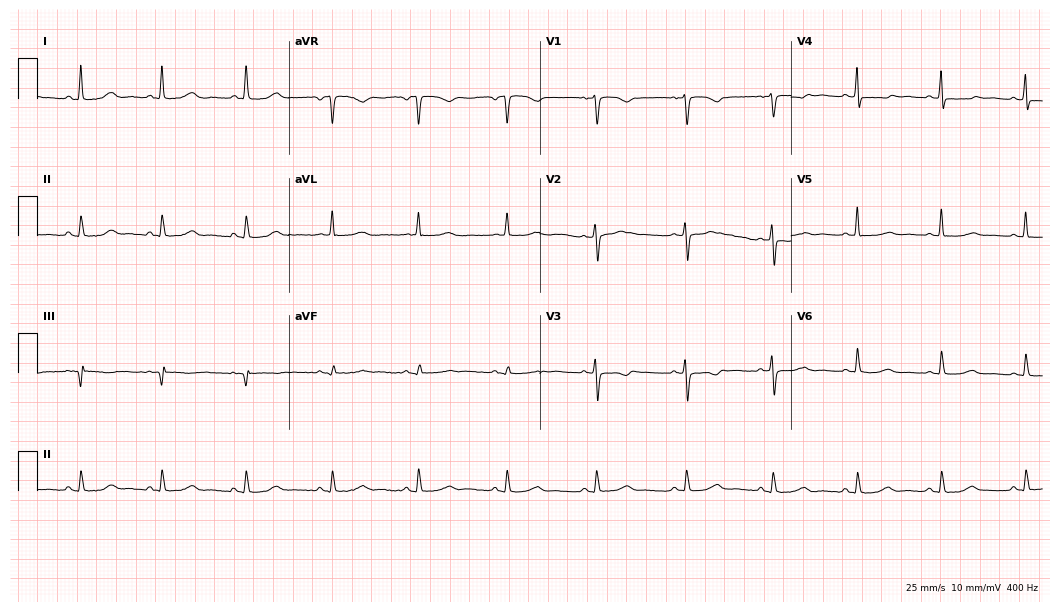
Resting 12-lead electrocardiogram. Patient: a 53-year-old female. None of these six findings is recorded: first-degree AV block, right bundle branch block, left bundle branch block, sinus bradycardia, atrial fibrillation, sinus tachycardia.